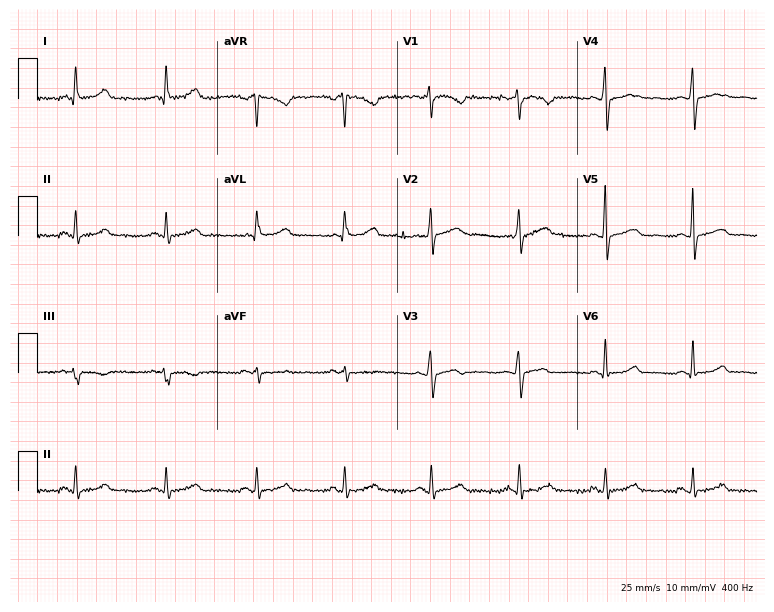
Standard 12-lead ECG recorded from a 49-year-old woman (7.3-second recording at 400 Hz). None of these six findings is recorded: first-degree AV block, right bundle branch block (RBBB), left bundle branch block (LBBB), sinus bradycardia, atrial fibrillation (AF), sinus tachycardia.